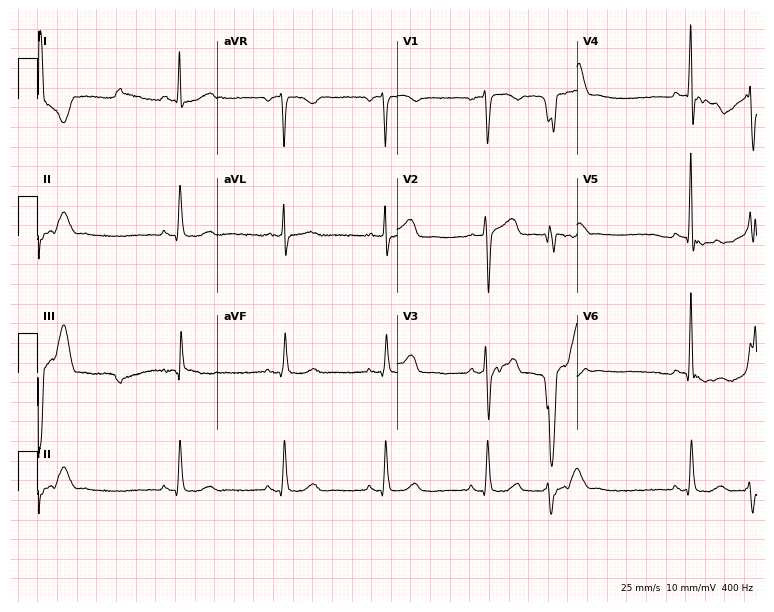
12-lead ECG from a male patient, 69 years old. Screened for six findings — first-degree AV block, right bundle branch block, left bundle branch block, sinus bradycardia, atrial fibrillation, sinus tachycardia — none is recorded.